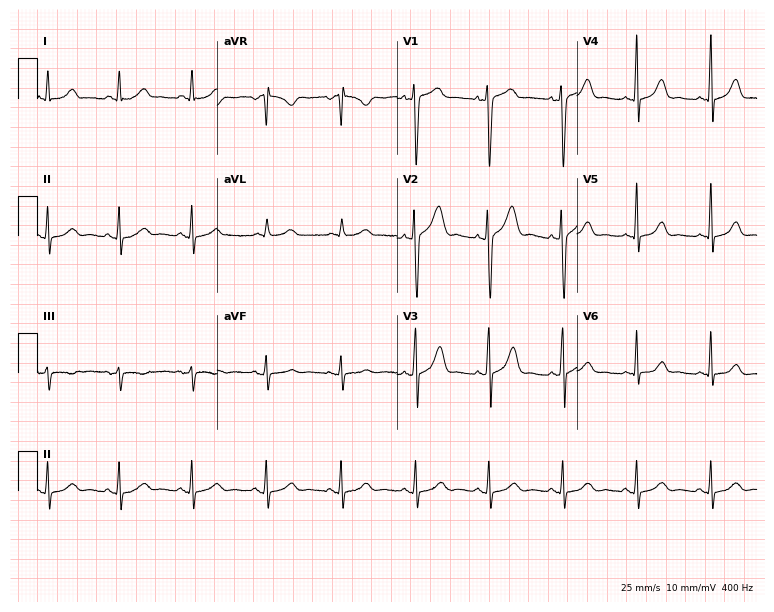
Resting 12-lead electrocardiogram (7.3-second recording at 400 Hz). Patient: a 48-year-old female. Read as a normal ECG.